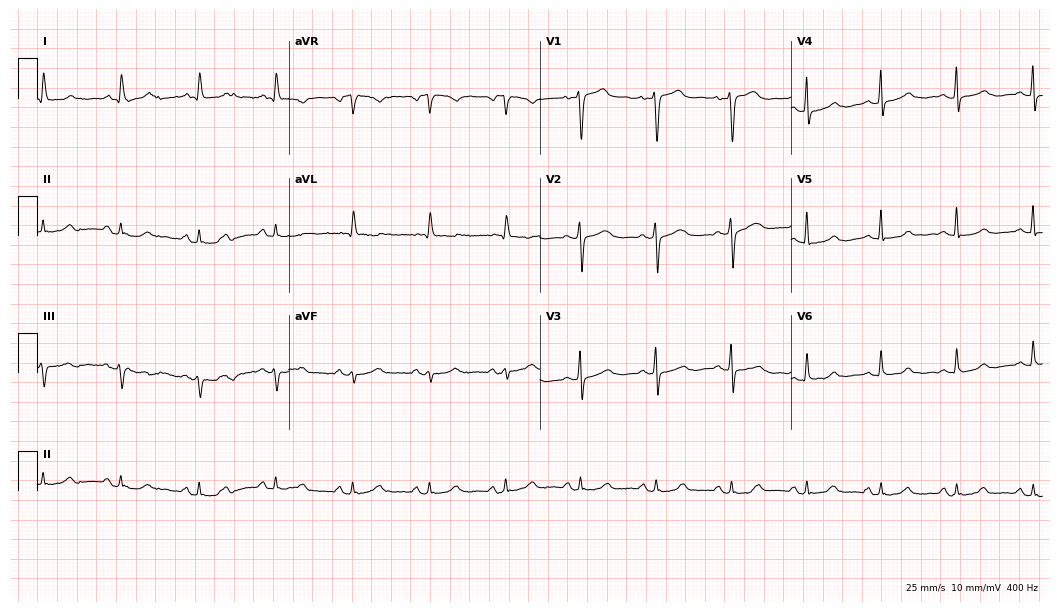
Standard 12-lead ECG recorded from a woman, 58 years old. None of these six findings is recorded: first-degree AV block, right bundle branch block, left bundle branch block, sinus bradycardia, atrial fibrillation, sinus tachycardia. Only these six findings were labelled.